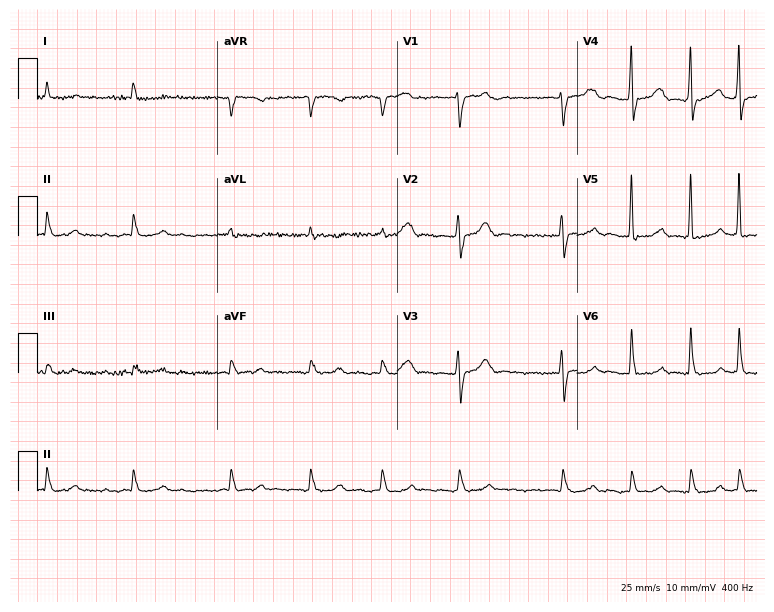
Standard 12-lead ECG recorded from a 78-year-old woman. The tracing shows atrial fibrillation.